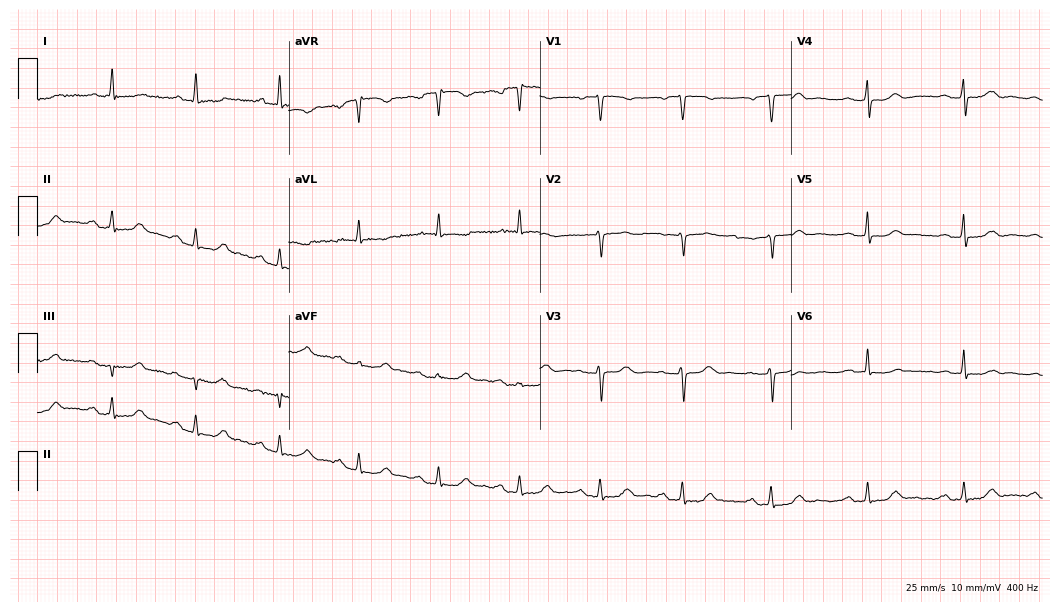
Electrocardiogram, a female, 62 years old. Interpretation includes first-degree AV block.